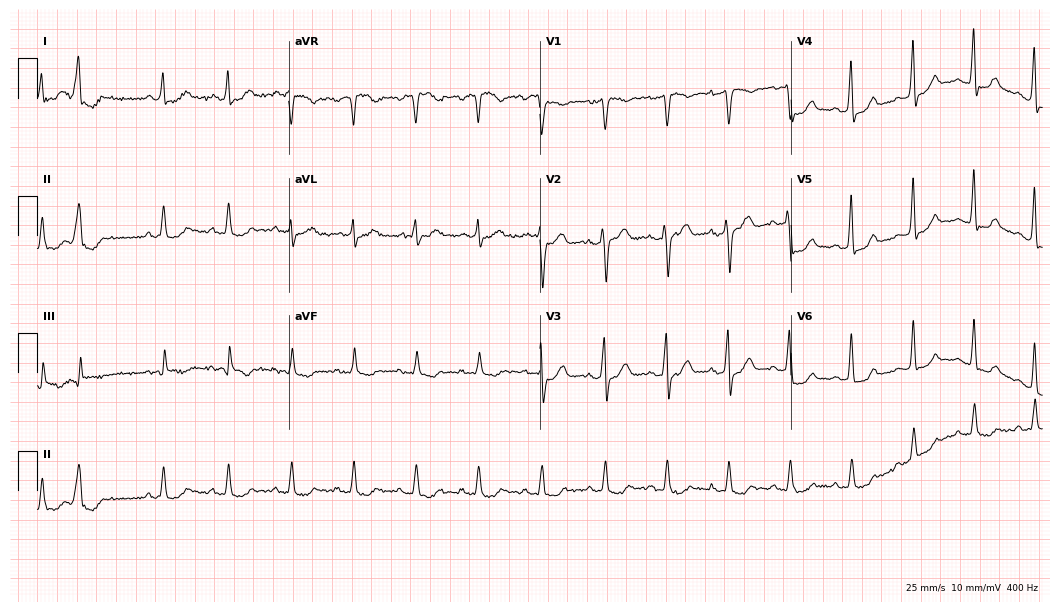
Standard 12-lead ECG recorded from a 56-year-old woman. None of these six findings is recorded: first-degree AV block, right bundle branch block, left bundle branch block, sinus bradycardia, atrial fibrillation, sinus tachycardia.